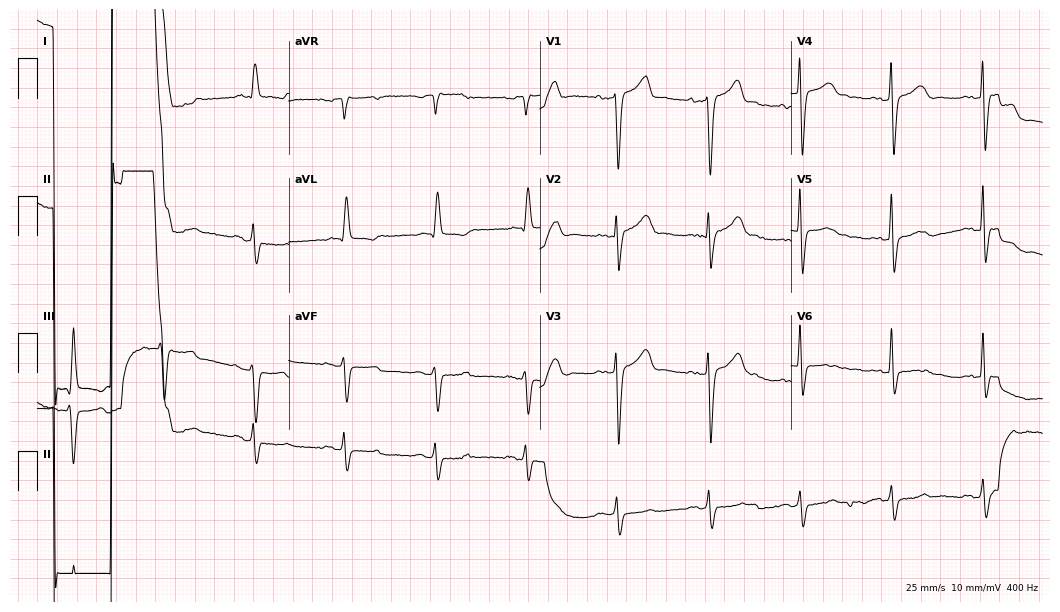
12-lead ECG from a 75-year-old man. Screened for six findings — first-degree AV block, right bundle branch block, left bundle branch block, sinus bradycardia, atrial fibrillation, sinus tachycardia — none is recorded. Findings outside these six are not listed.